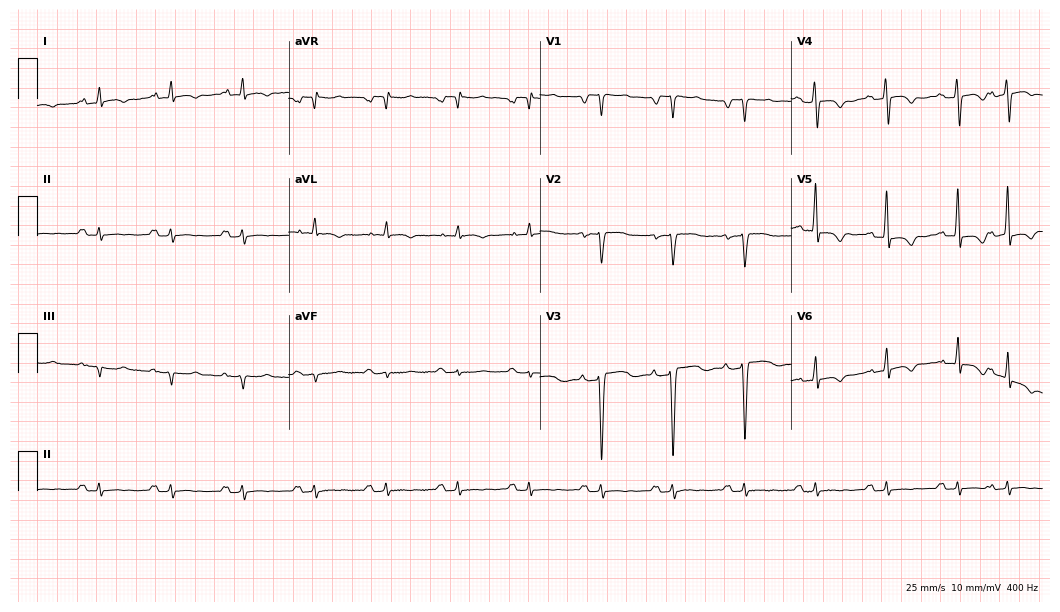
Resting 12-lead electrocardiogram. Patient: a male, 61 years old. None of these six findings is recorded: first-degree AV block, right bundle branch block, left bundle branch block, sinus bradycardia, atrial fibrillation, sinus tachycardia. Findings outside these six are not listed.